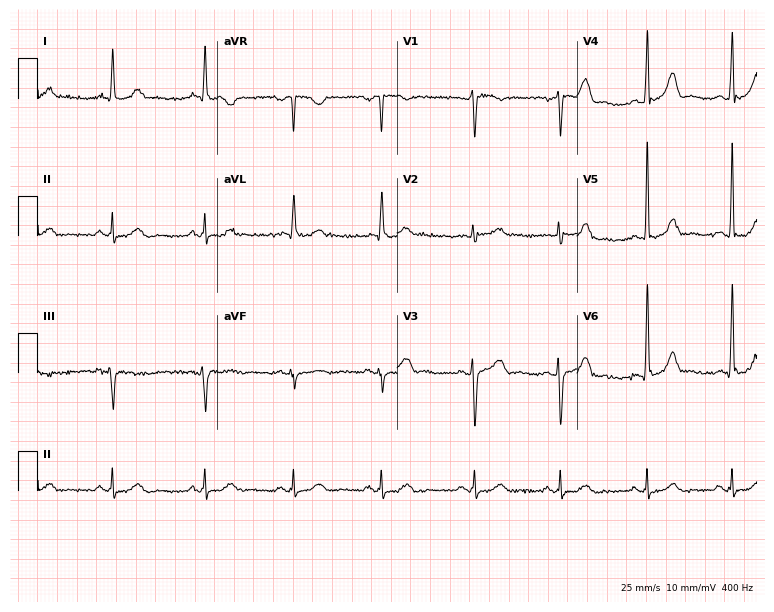
12-lead ECG from a female patient, 56 years old. Recorded interpretation: within normal limits.